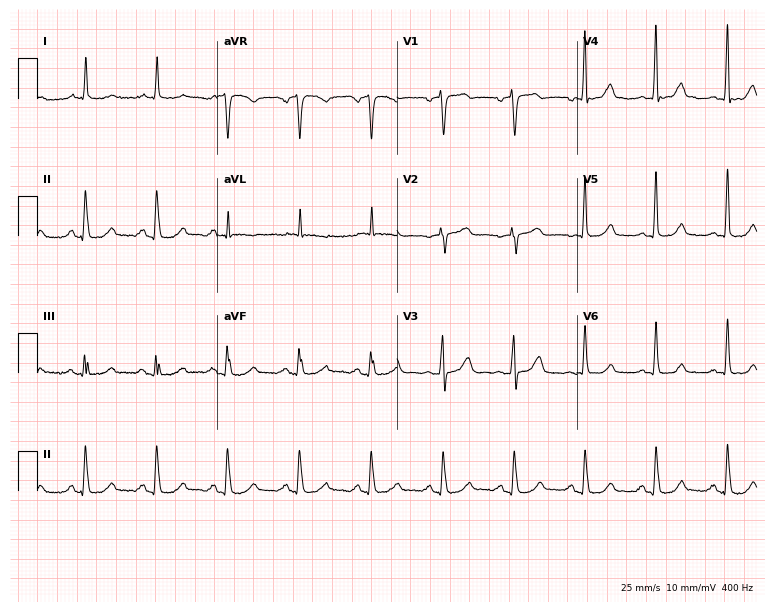
Resting 12-lead electrocardiogram. Patient: a female, 71 years old. None of these six findings is recorded: first-degree AV block, right bundle branch block, left bundle branch block, sinus bradycardia, atrial fibrillation, sinus tachycardia. Other findings, if any, are not listed.